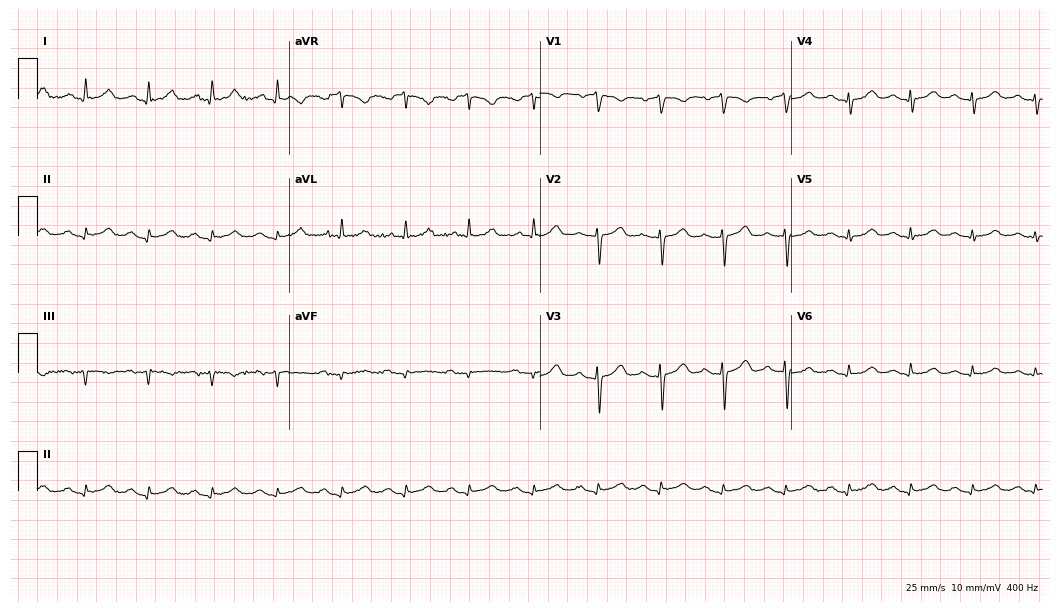
12-lead ECG from a woman, 75 years old. Screened for six findings — first-degree AV block, right bundle branch block, left bundle branch block, sinus bradycardia, atrial fibrillation, sinus tachycardia — none is recorded.